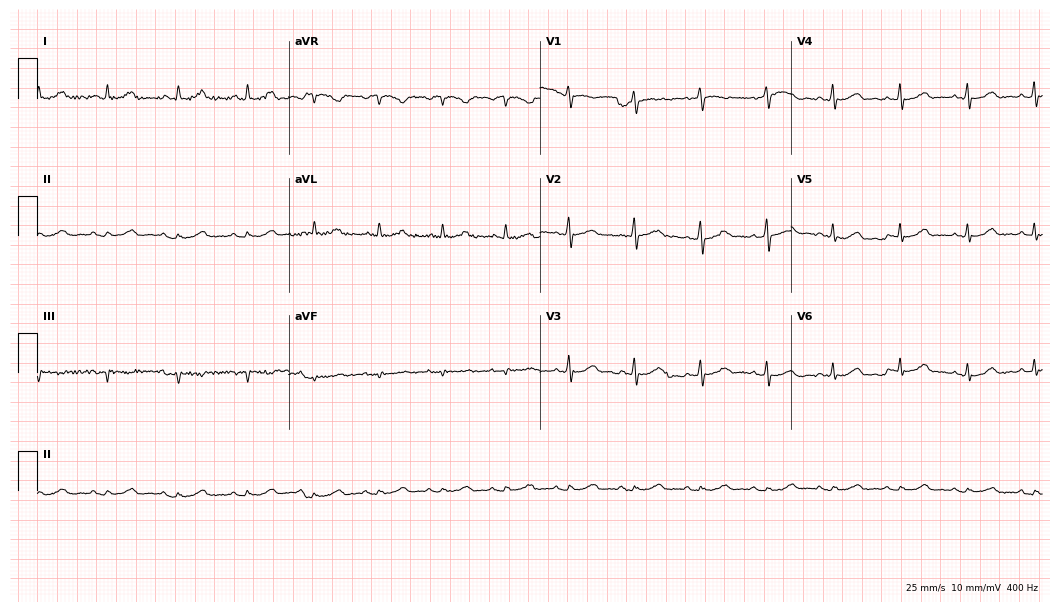
ECG (10.2-second recording at 400 Hz) — a female, 67 years old. Labelled as a normal ECG.